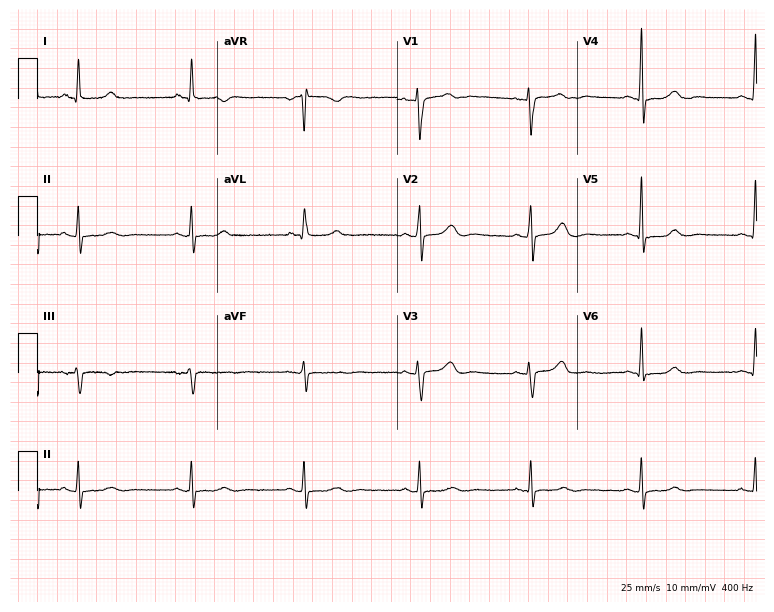
12-lead ECG (7.3-second recording at 400 Hz) from a female patient, 53 years old. Screened for six findings — first-degree AV block, right bundle branch block (RBBB), left bundle branch block (LBBB), sinus bradycardia, atrial fibrillation (AF), sinus tachycardia — none is recorded.